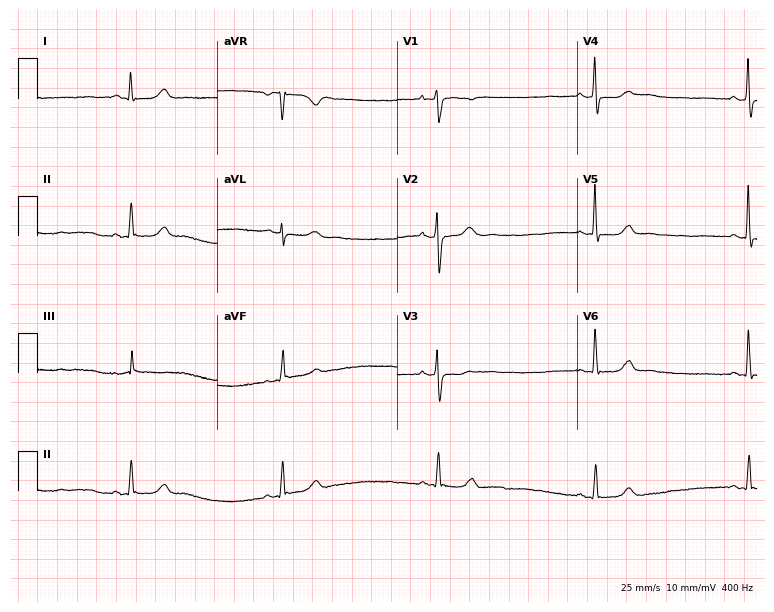
12-lead ECG from a woman, 60 years old (7.3-second recording at 400 Hz). Shows sinus bradycardia (a sinus rate of 50 beats per minute or less).